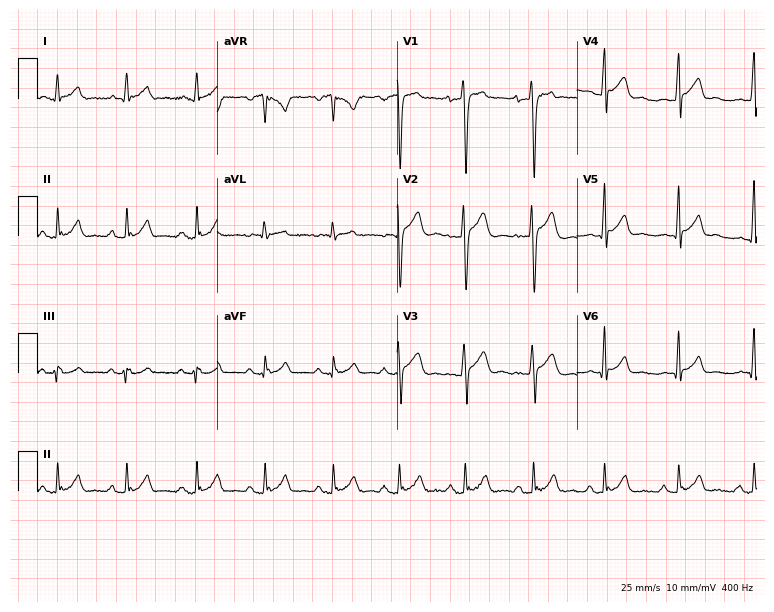
Standard 12-lead ECG recorded from a man, 21 years old (7.3-second recording at 400 Hz). None of these six findings is recorded: first-degree AV block, right bundle branch block (RBBB), left bundle branch block (LBBB), sinus bradycardia, atrial fibrillation (AF), sinus tachycardia.